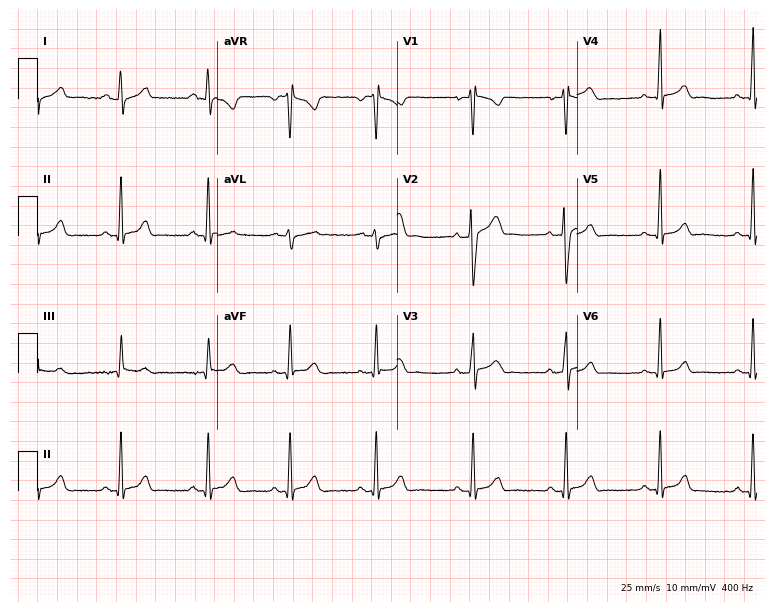
12-lead ECG from a male, 18 years old (7.3-second recording at 400 Hz). Recorded interpretation: within normal limits.